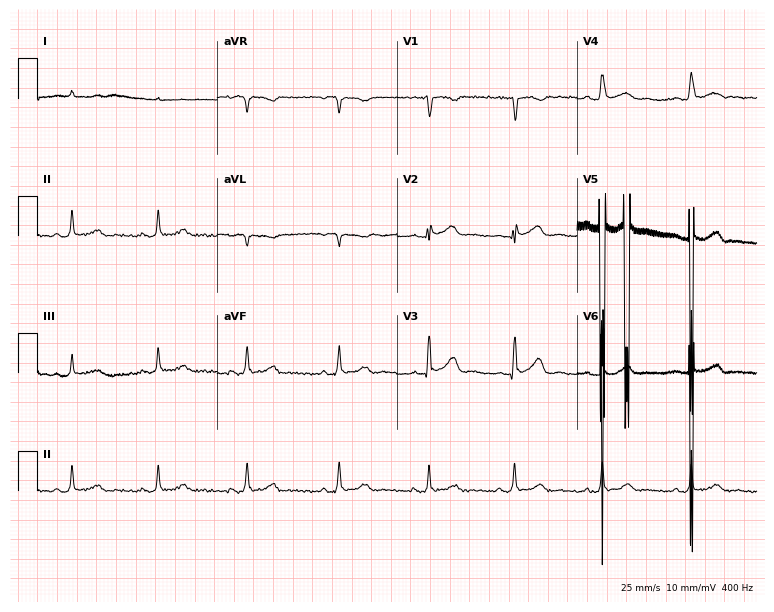
12-lead ECG from a female, 32 years old (7.3-second recording at 400 Hz). No first-degree AV block, right bundle branch block, left bundle branch block, sinus bradycardia, atrial fibrillation or sinus tachycardia recorded for this tracing. Other findings, if any, are not listed.